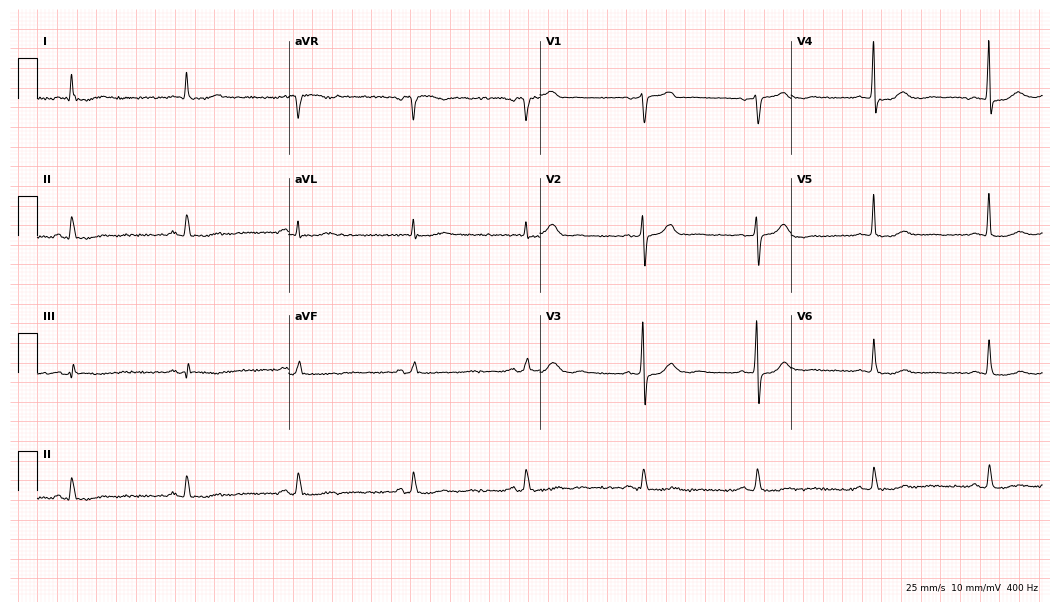
Electrocardiogram (10.2-second recording at 400 Hz), a 68-year-old female patient. Of the six screened findings (first-degree AV block, right bundle branch block (RBBB), left bundle branch block (LBBB), sinus bradycardia, atrial fibrillation (AF), sinus tachycardia), none is recorded.